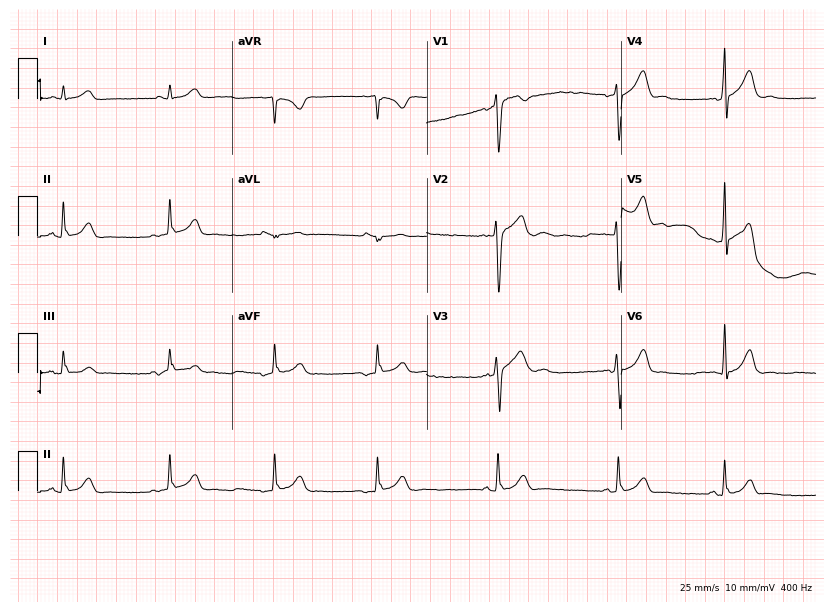
ECG — a 29-year-old man. Labelled as a normal ECG.